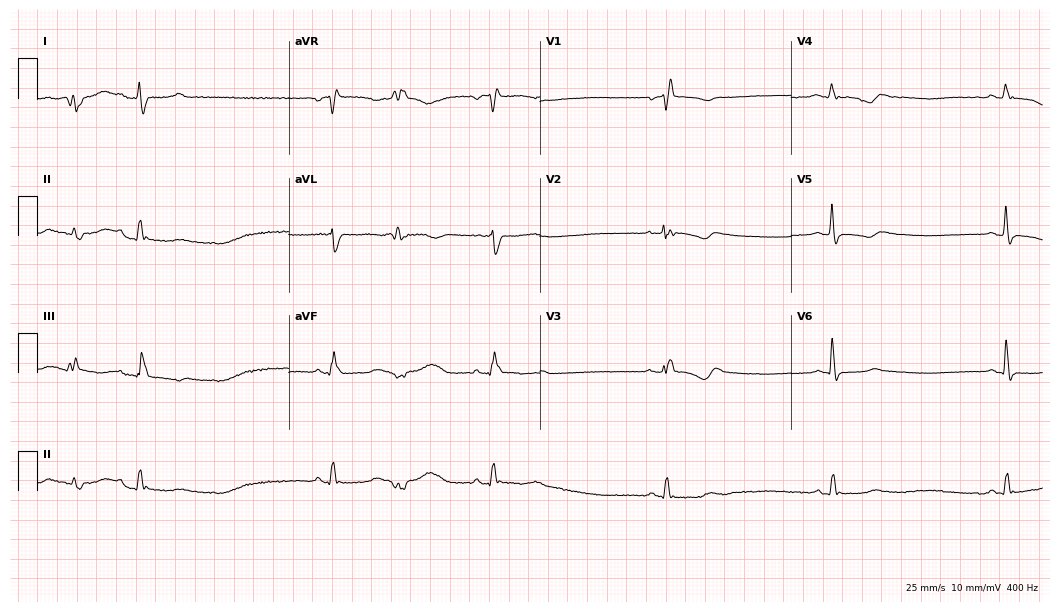
Standard 12-lead ECG recorded from a female, 66 years old (10.2-second recording at 400 Hz). The tracing shows right bundle branch block, sinus bradycardia (a sinus rate of 50 beats per minute or less).